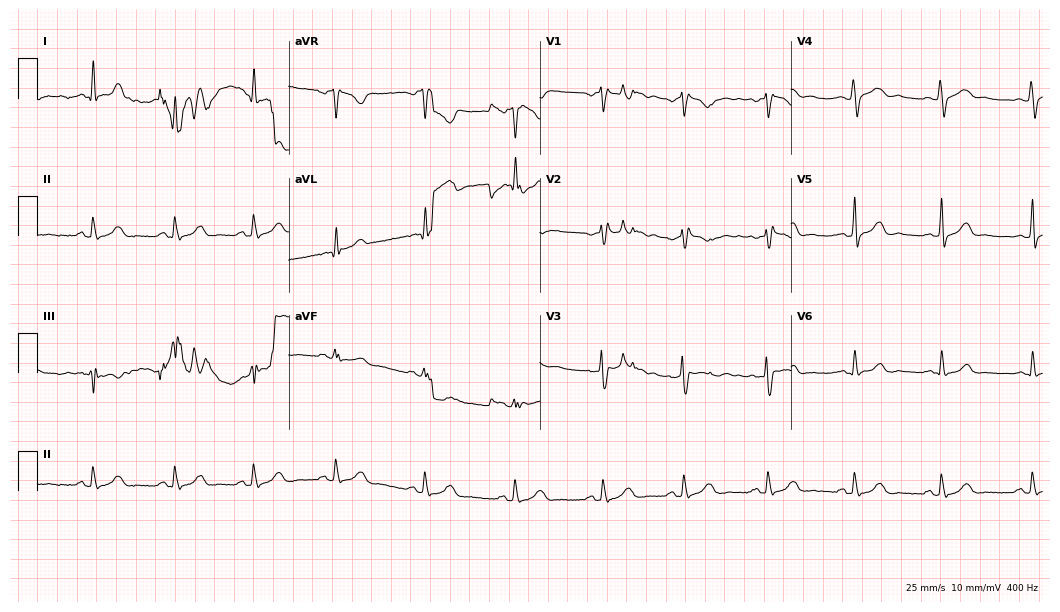
ECG — a 34-year-old female patient. Screened for six findings — first-degree AV block, right bundle branch block, left bundle branch block, sinus bradycardia, atrial fibrillation, sinus tachycardia — none is recorded.